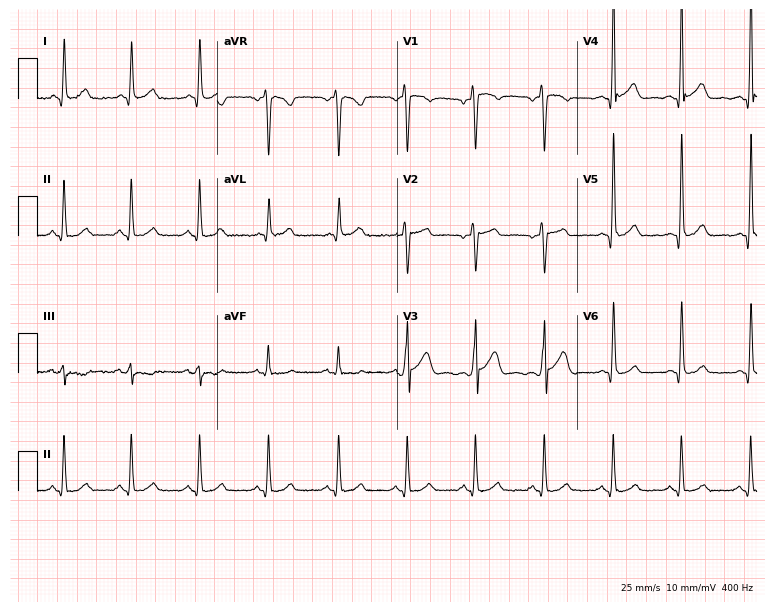
ECG — a male, 51 years old. Labelled as a normal ECG.